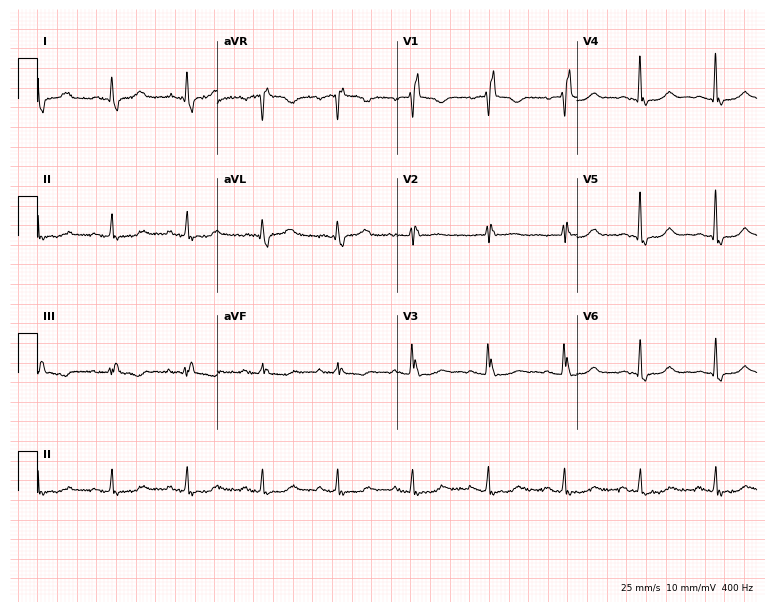
12-lead ECG from a woman, 66 years old (7.3-second recording at 400 Hz). Shows right bundle branch block.